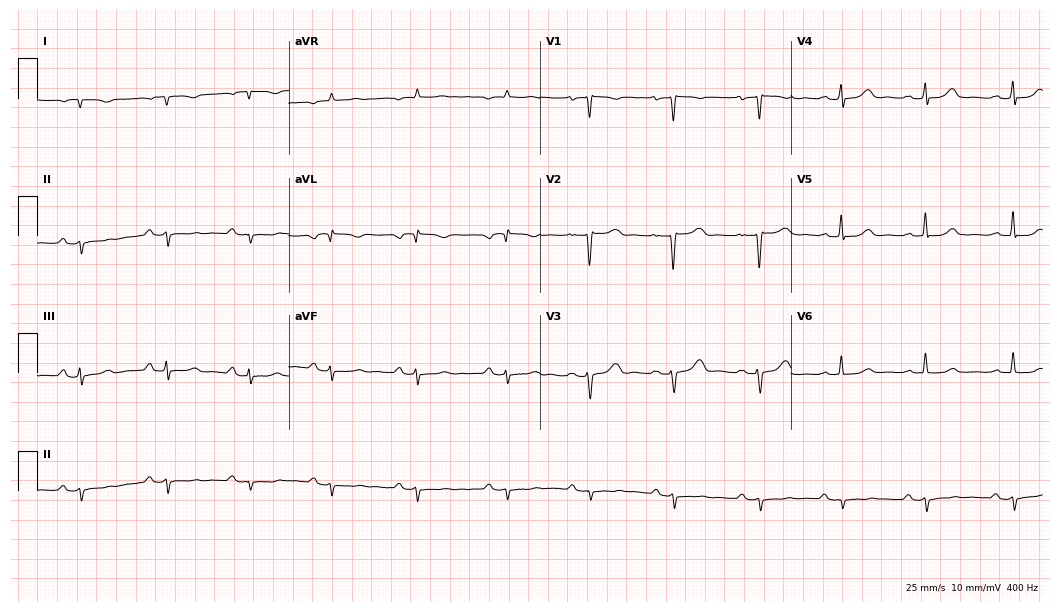
Resting 12-lead electrocardiogram (10.2-second recording at 400 Hz). Patient: a 44-year-old woman. None of these six findings is recorded: first-degree AV block, right bundle branch block (RBBB), left bundle branch block (LBBB), sinus bradycardia, atrial fibrillation (AF), sinus tachycardia. Only these six findings were labelled.